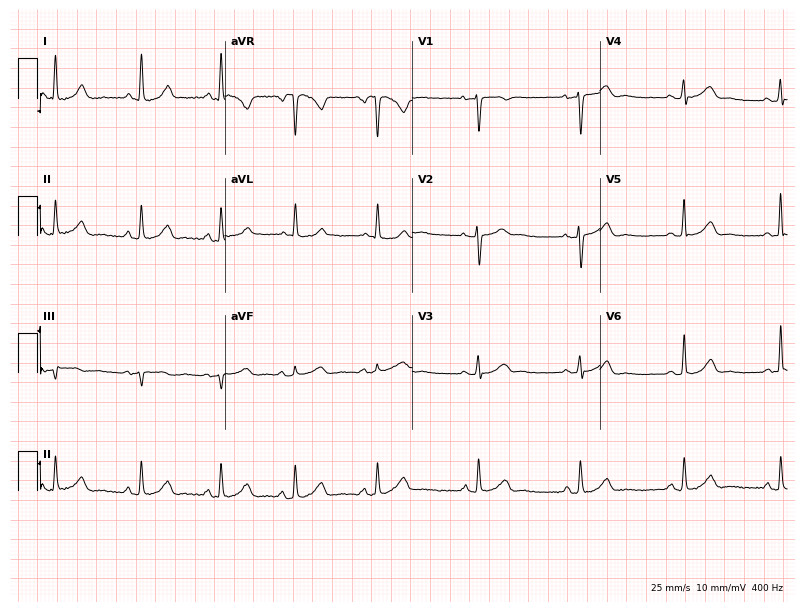
Electrocardiogram, a woman, 37 years old. Of the six screened findings (first-degree AV block, right bundle branch block, left bundle branch block, sinus bradycardia, atrial fibrillation, sinus tachycardia), none is recorded.